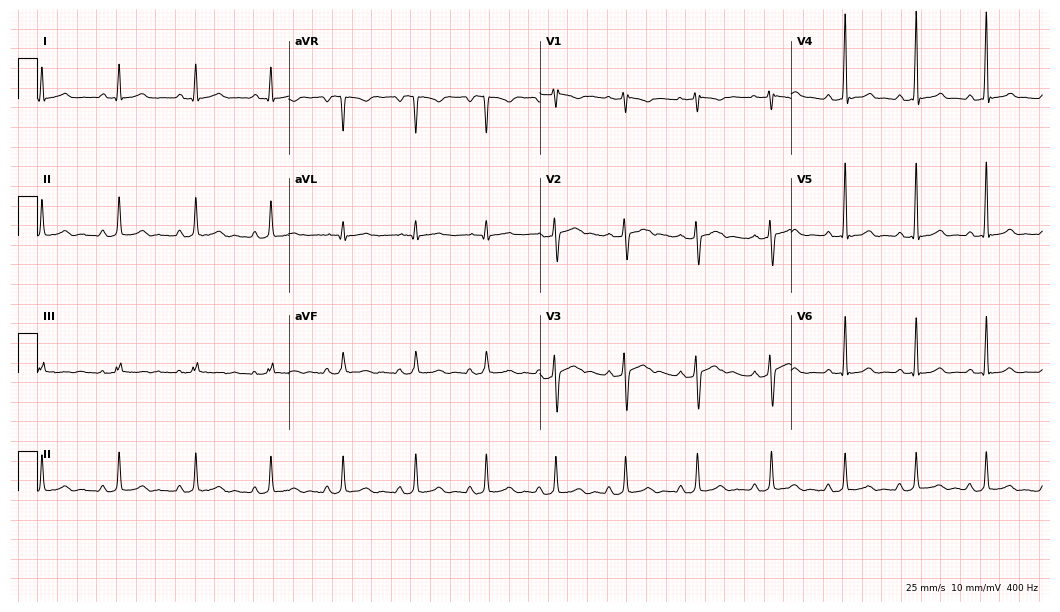
12-lead ECG from a 36-year-old female (10.2-second recording at 400 Hz). Recorded interpretation: within normal limits.